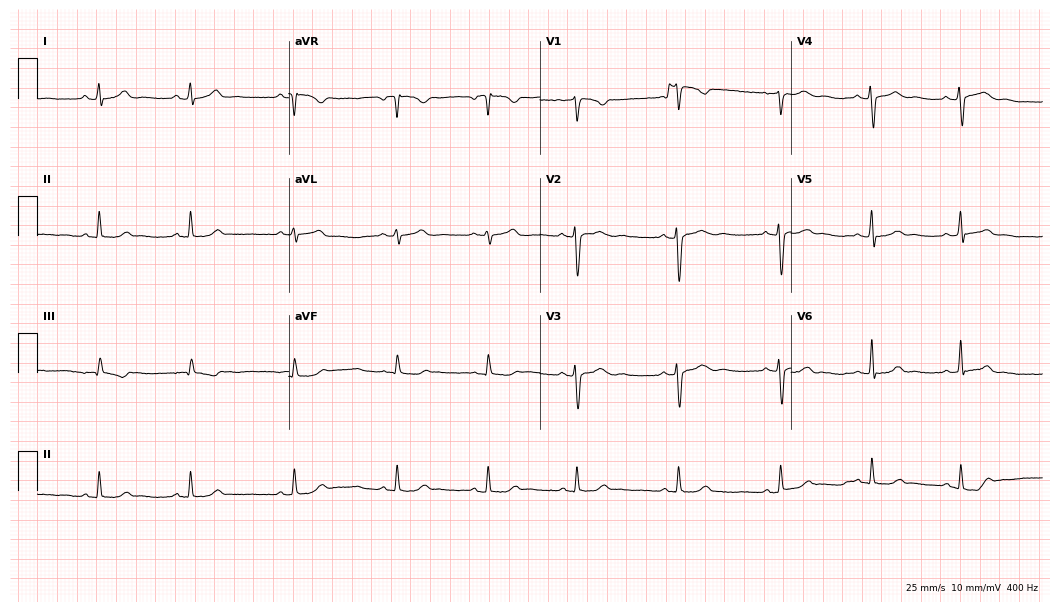
ECG — a woman, 23 years old. Labelled as a normal ECG.